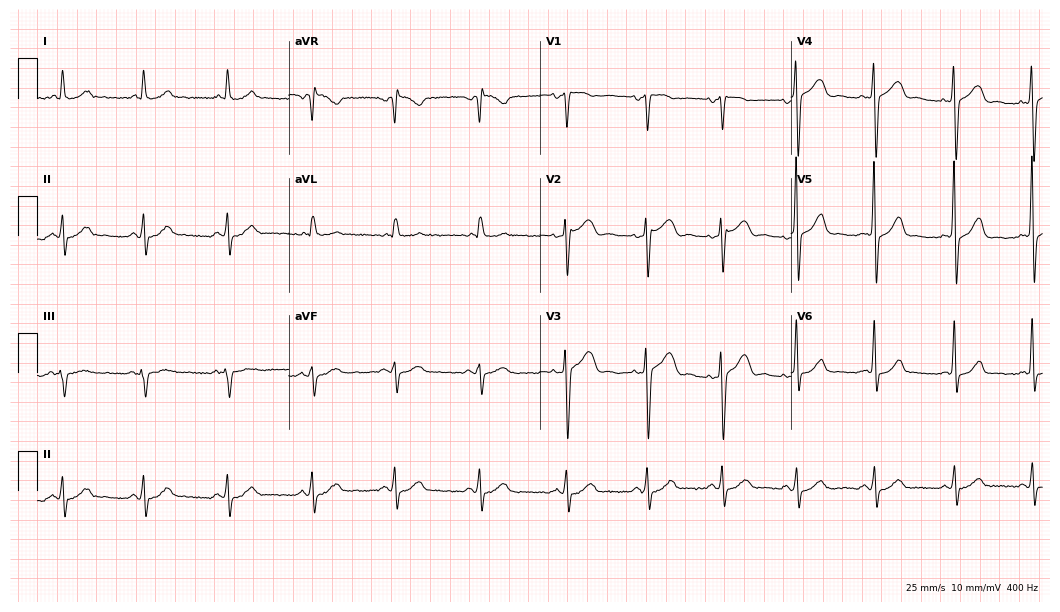
Resting 12-lead electrocardiogram. Patient: a 55-year-old female. Read as a normal ECG.